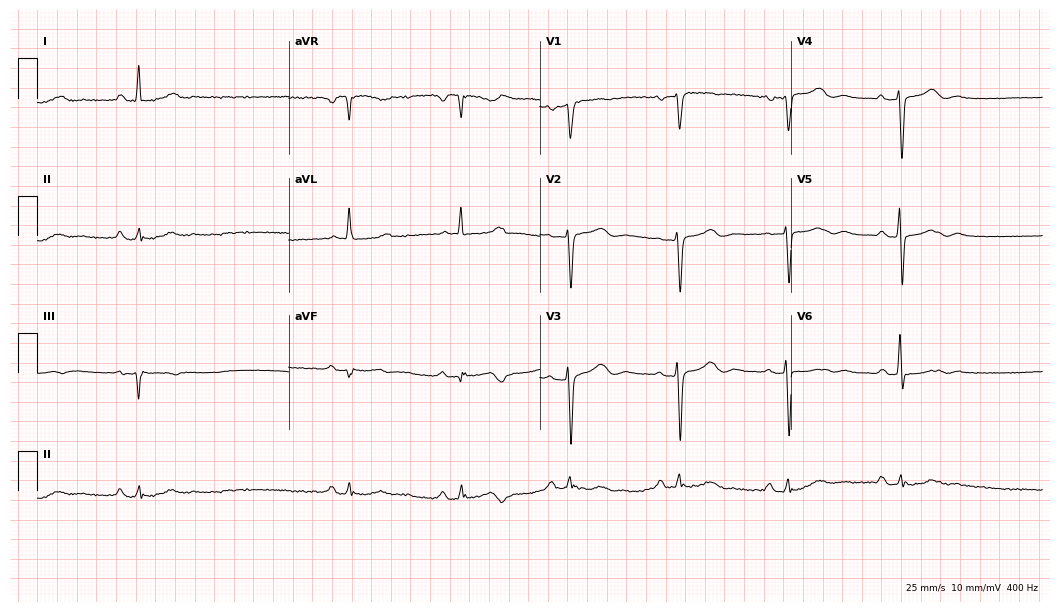
Electrocardiogram (10.2-second recording at 400 Hz), a woman, 74 years old. Of the six screened findings (first-degree AV block, right bundle branch block, left bundle branch block, sinus bradycardia, atrial fibrillation, sinus tachycardia), none is recorded. Findings outside these six are not listed.